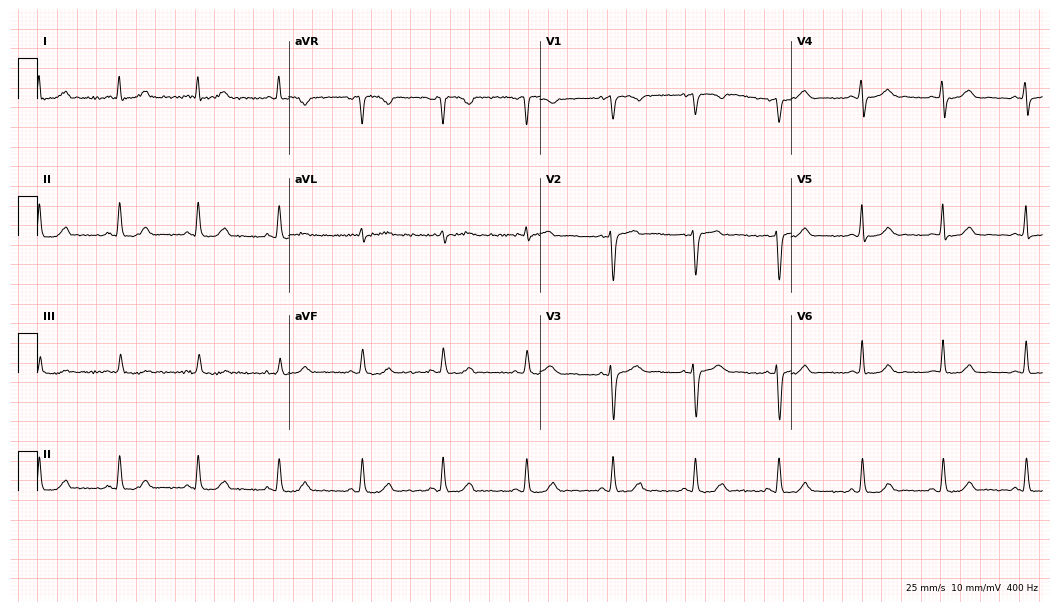
Resting 12-lead electrocardiogram. Patient: a 37-year-old woman. Read as a normal ECG.